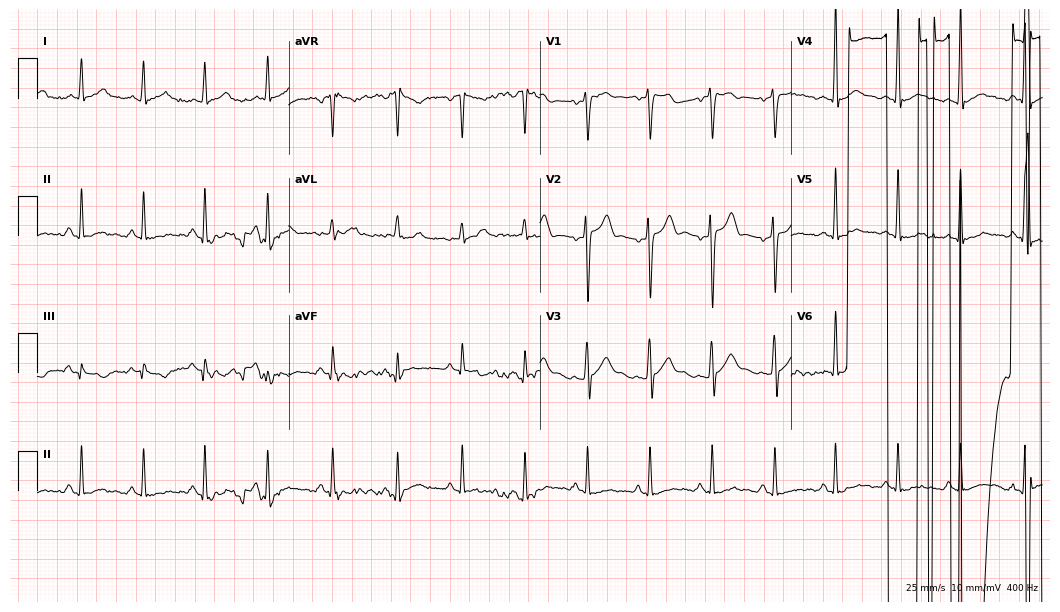
Resting 12-lead electrocardiogram. Patient: a male, 22 years old. None of these six findings is recorded: first-degree AV block, right bundle branch block (RBBB), left bundle branch block (LBBB), sinus bradycardia, atrial fibrillation (AF), sinus tachycardia.